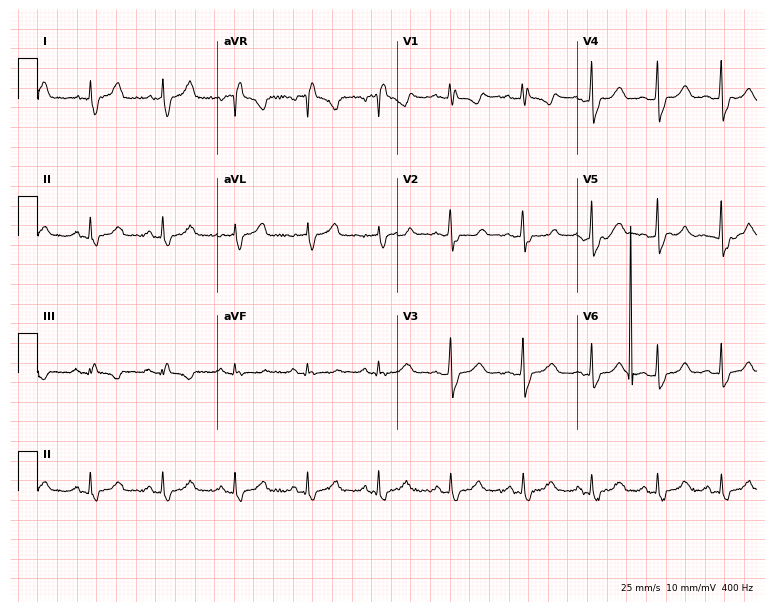
12-lead ECG from a female patient, 28 years old (7.3-second recording at 400 Hz). Shows right bundle branch block (RBBB).